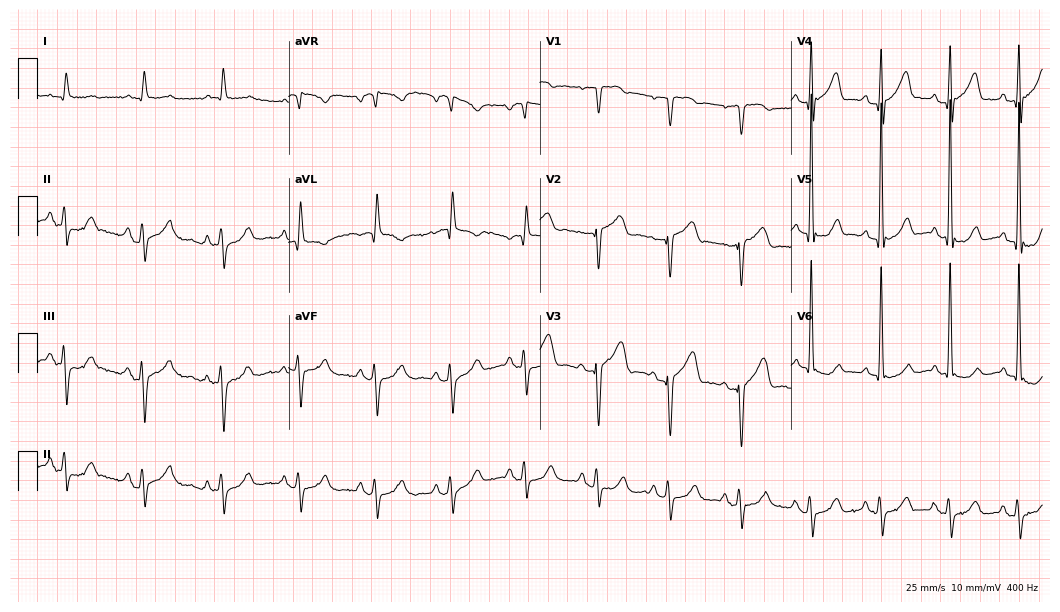
Electrocardiogram, a man, 67 years old. Of the six screened findings (first-degree AV block, right bundle branch block, left bundle branch block, sinus bradycardia, atrial fibrillation, sinus tachycardia), none is recorded. Findings outside these six are not listed.